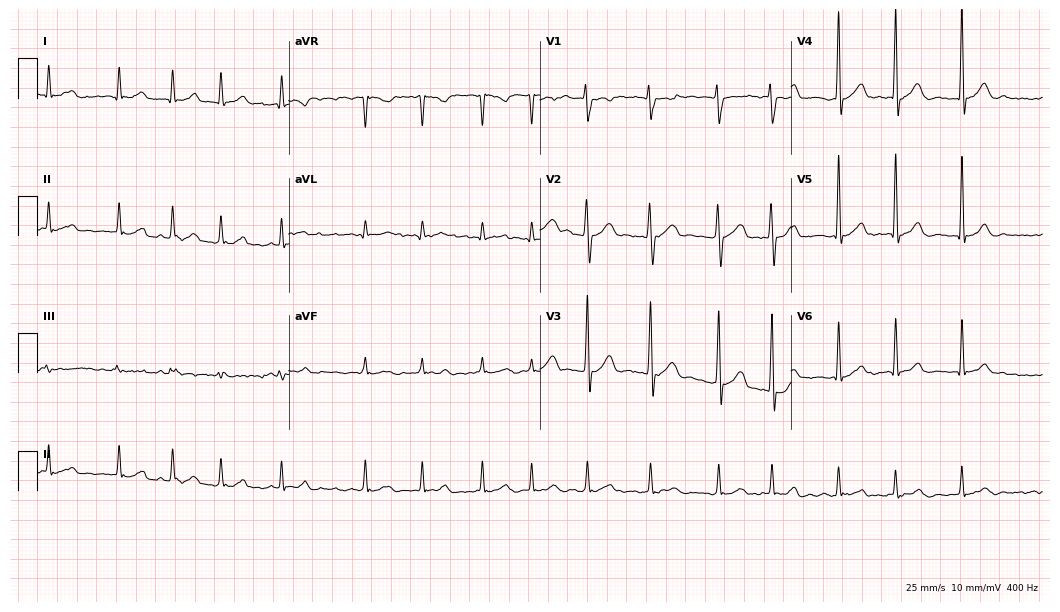
Electrocardiogram (10.2-second recording at 400 Hz), a 68-year-old male. Interpretation includes atrial fibrillation (AF).